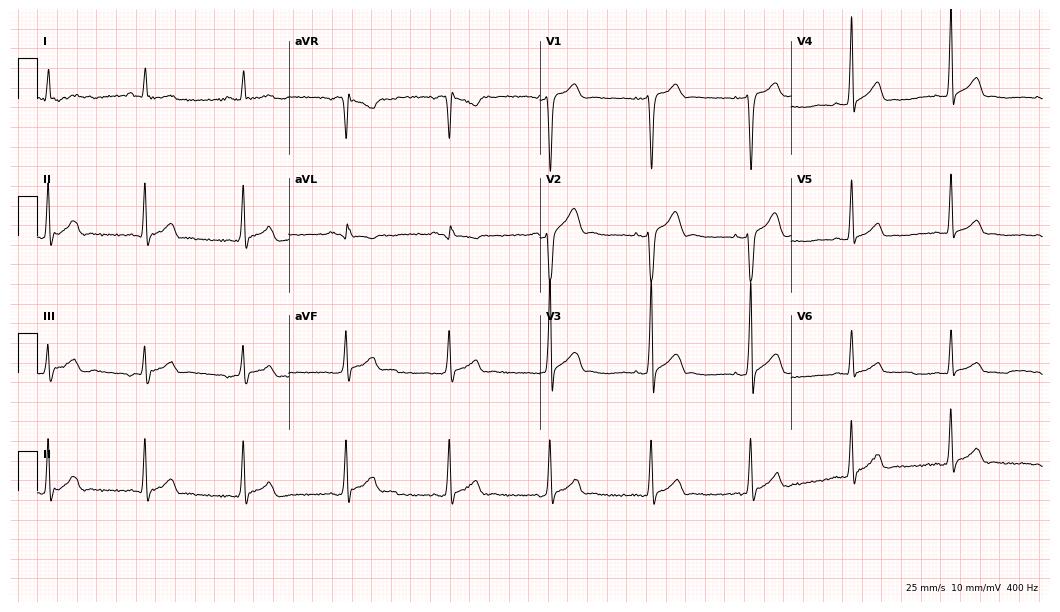
12-lead ECG from a 22-year-old male patient. Recorded interpretation: within normal limits.